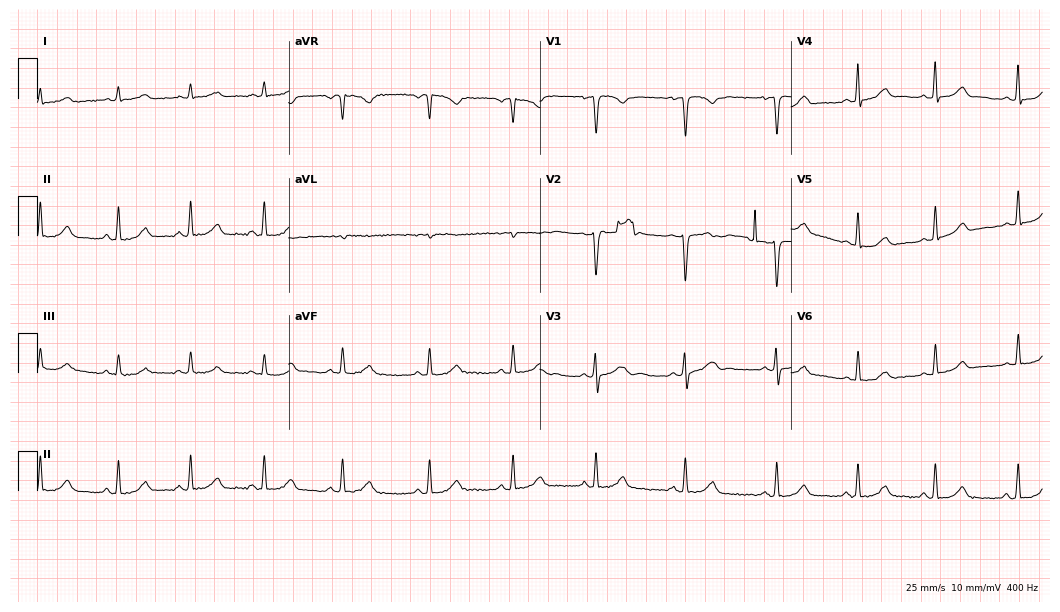
ECG (10.2-second recording at 400 Hz) — a female, 29 years old. Screened for six findings — first-degree AV block, right bundle branch block, left bundle branch block, sinus bradycardia, atrial fibrillation, sinus tachycardia — none is recorded.